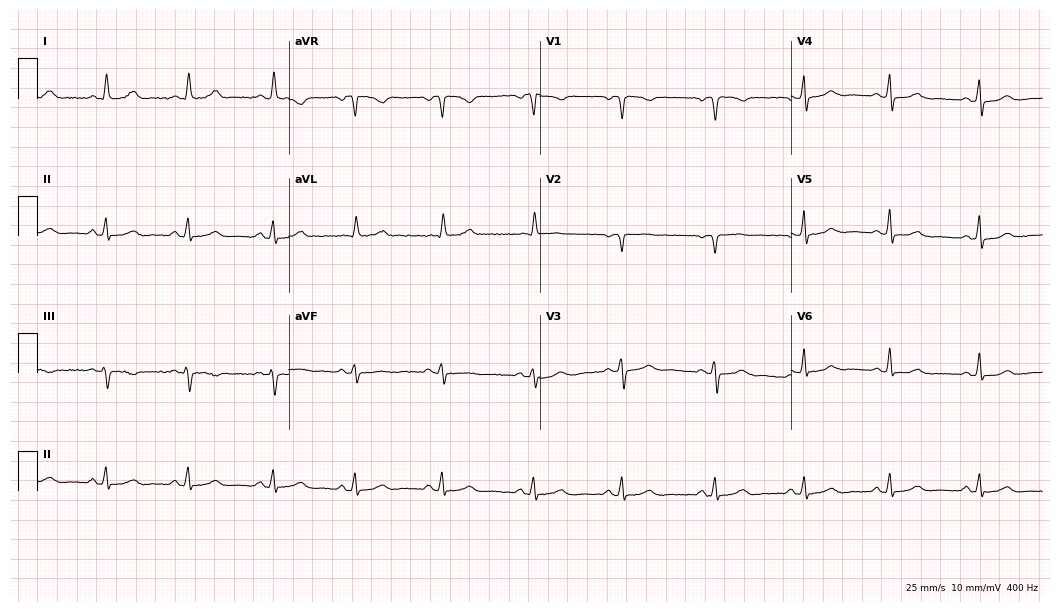
Resting 12-lead electrocardiogram. Patient: a female, 47 years old. Read as a normal ECG.